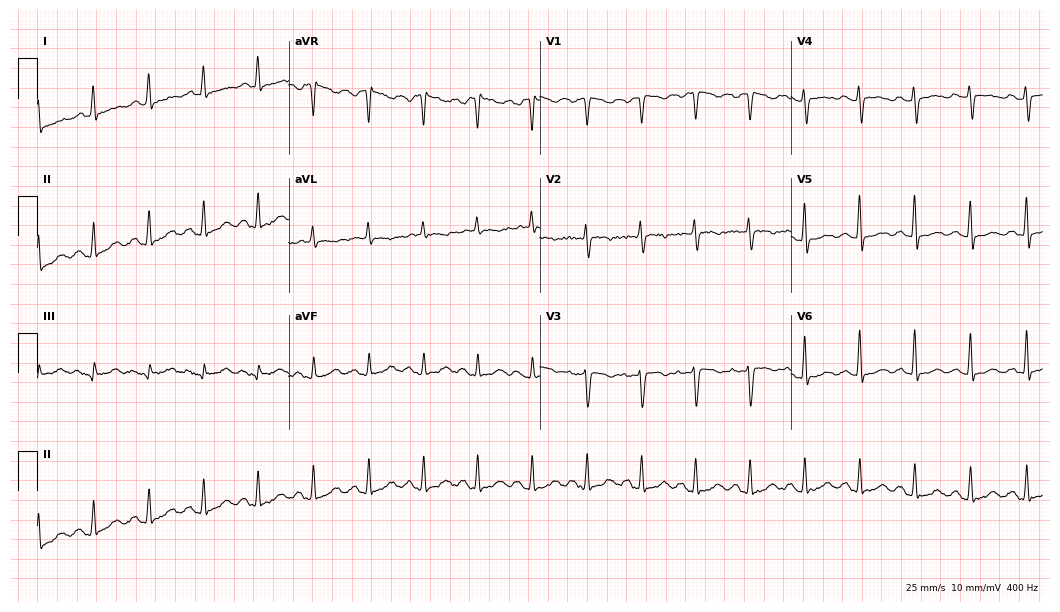
12-lead ECG (10.2-second recording at 400 Hz) from a female patient, 31 years old. Findings include sinus tachycardia (a sinus rate of 100 beats per minute or more).